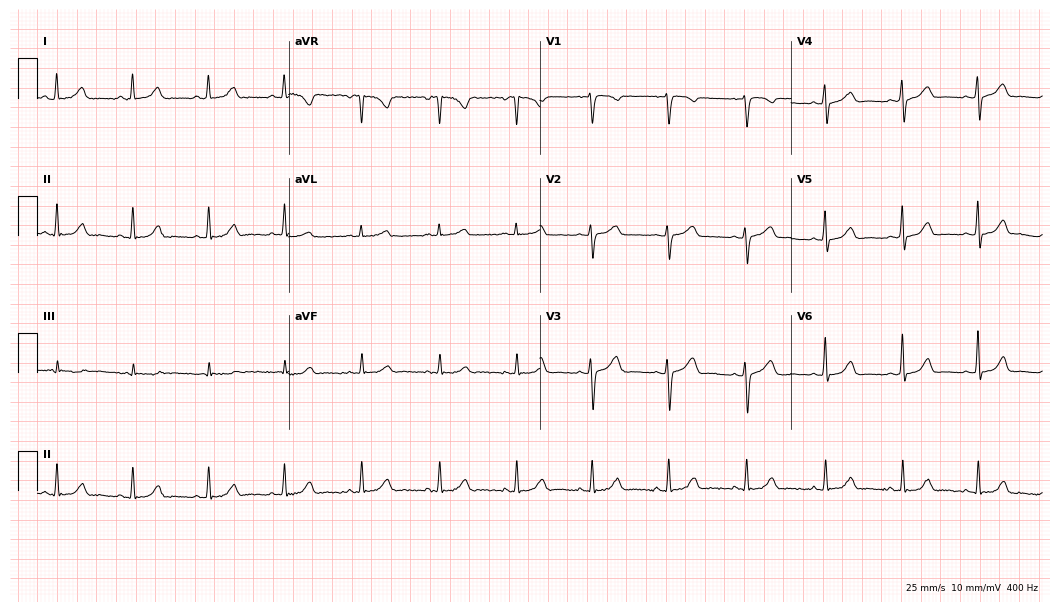
12-lead ECG (10.2-second recording at 400 Hz) from a female patient, 41 years old. Labelled as a normal ECG.